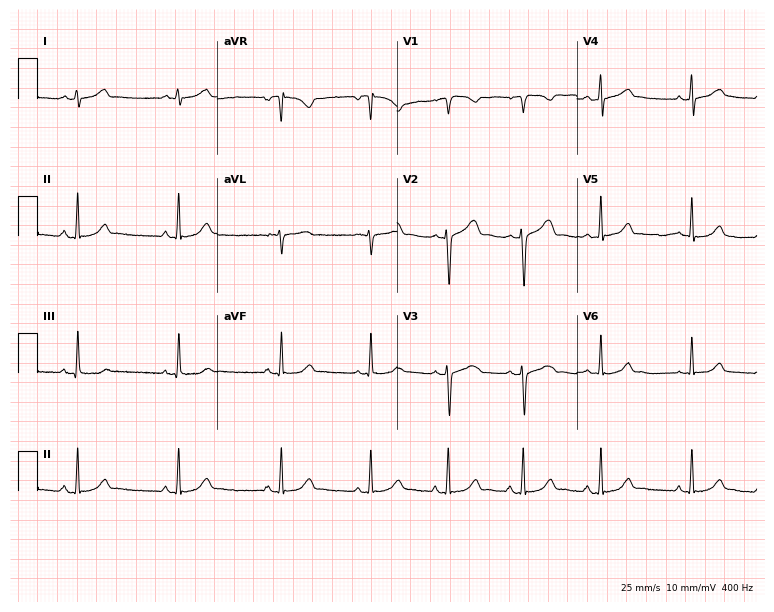
Resting 12-lead electrocardiogram. Patient: a female, 23 years old. Read as a normal ECG.